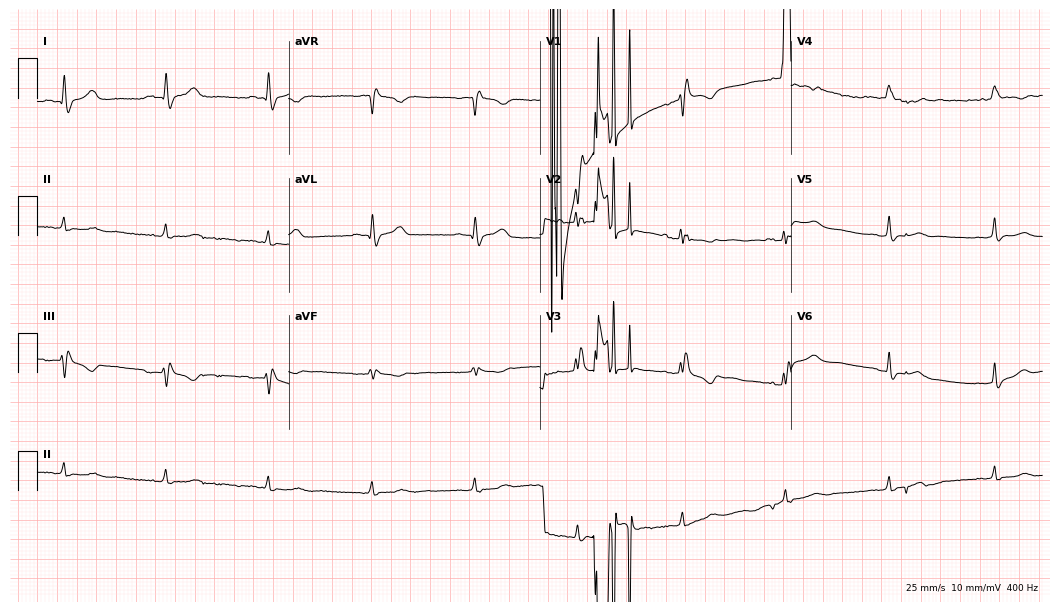
12-lead ECG from a woman, 47 years old. Screened for six findings — first-degree AV block, right bundle branch block, left bundle branch block, sinus bradycardia, atrial fibrillation, sinus tachycardia — none is recorded.